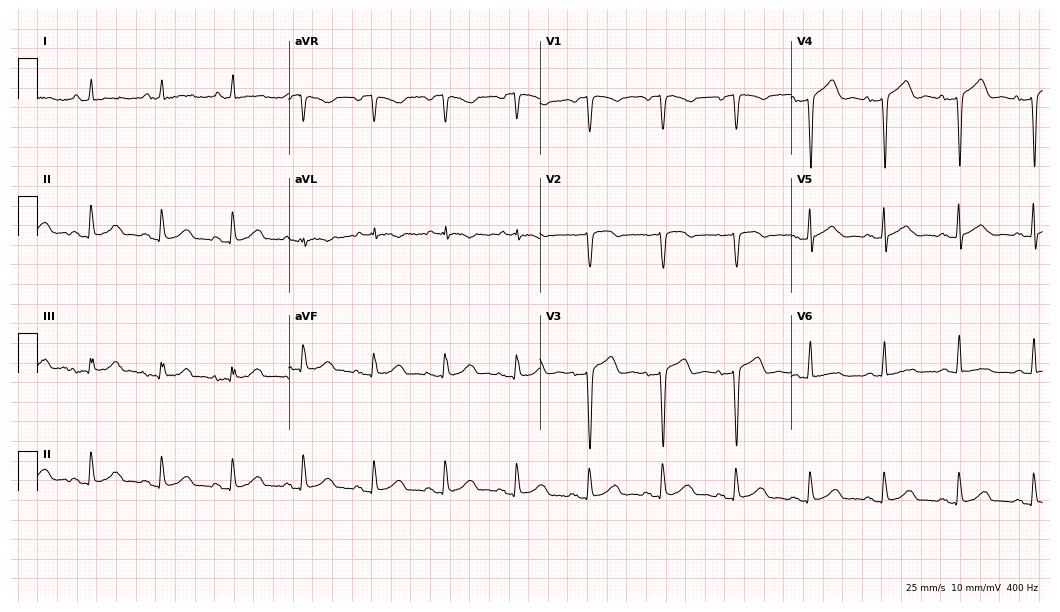
Standard 12-lead ECG recorded from a female patient, 79 years old. None of these six findings is recorded: first-degree AV block, right bundle branch block (RBBB), left bundle branch block (LBBB), sinus bradycardia, atrial fibrillation (AF), sinus tachycardia.